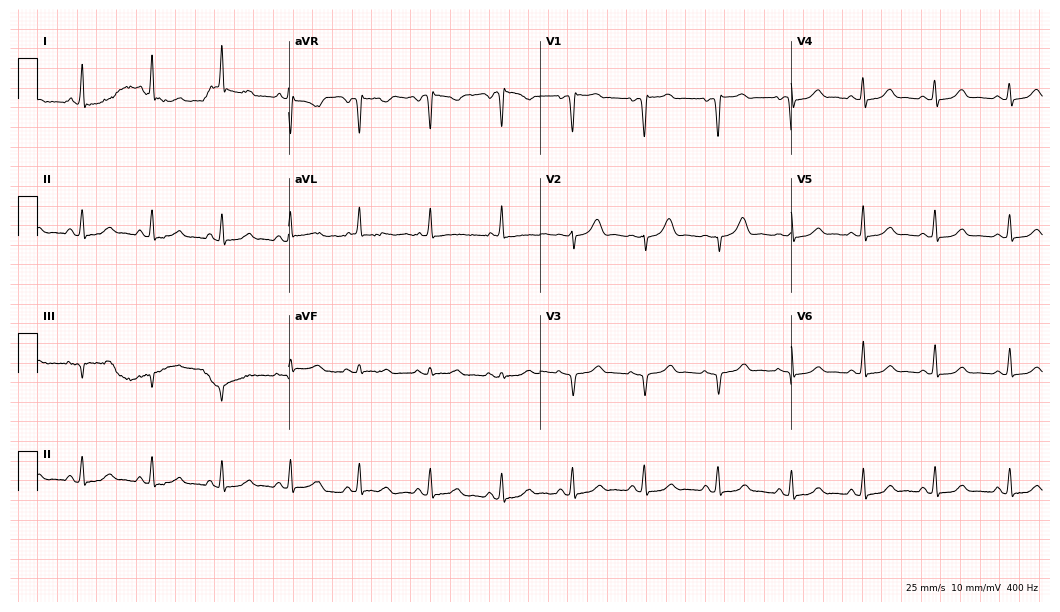
12-lead ECG from a 57-year-old female (10.2-second recording at 400 Hz). No first-degree AV block, right bundle branch block, left bundle branch block, sinus bradycardia, atrial fibrillation or sinus tachycardia recorded for this tracing. Findings outside these six are not listed.